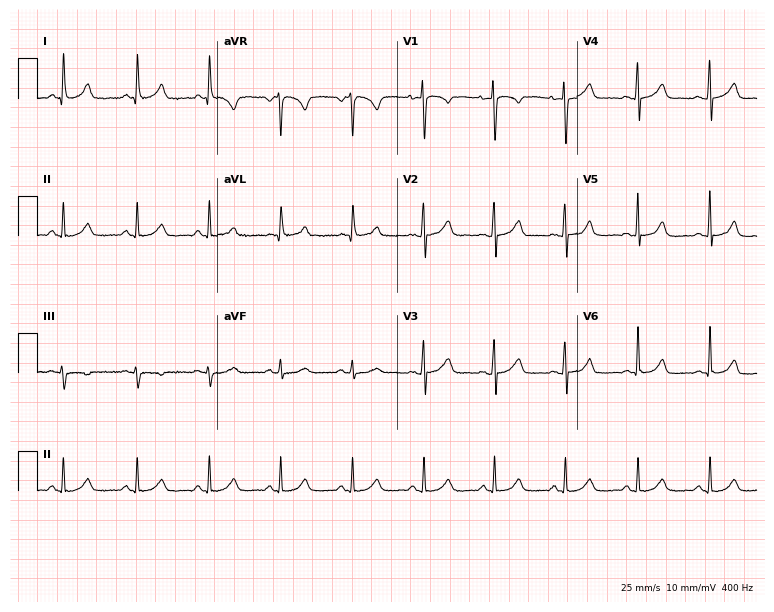
12-lead ECG from a 28-year-old woman. Recorded interpretation: within normal limits.